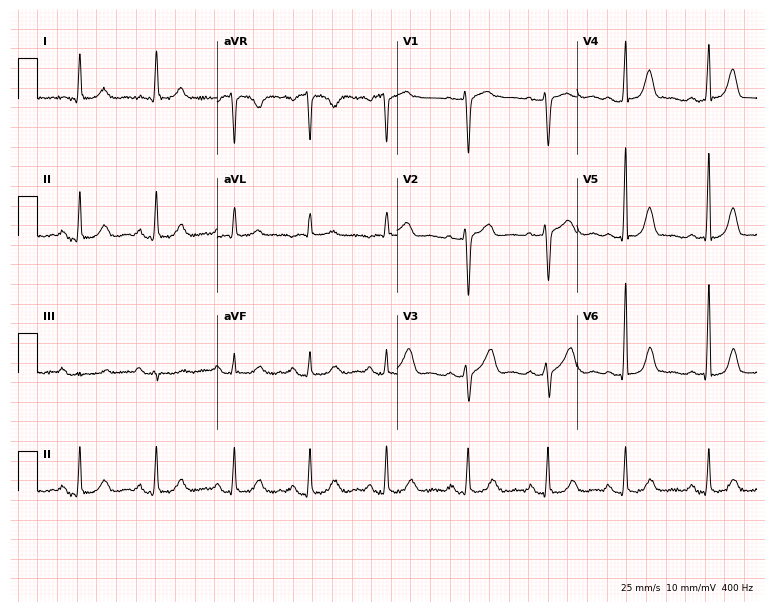
Electrocardiogram (7.3-second recording at 400 Hz), a 56-year-old female patient. Of the six screened findings (first-degree AV block, right bundle branch block (RBBB), left bundle branch block (LBBB), sinus bradycardia, atrial fibrillation (AF), sinus tachycardia), none is recorded.